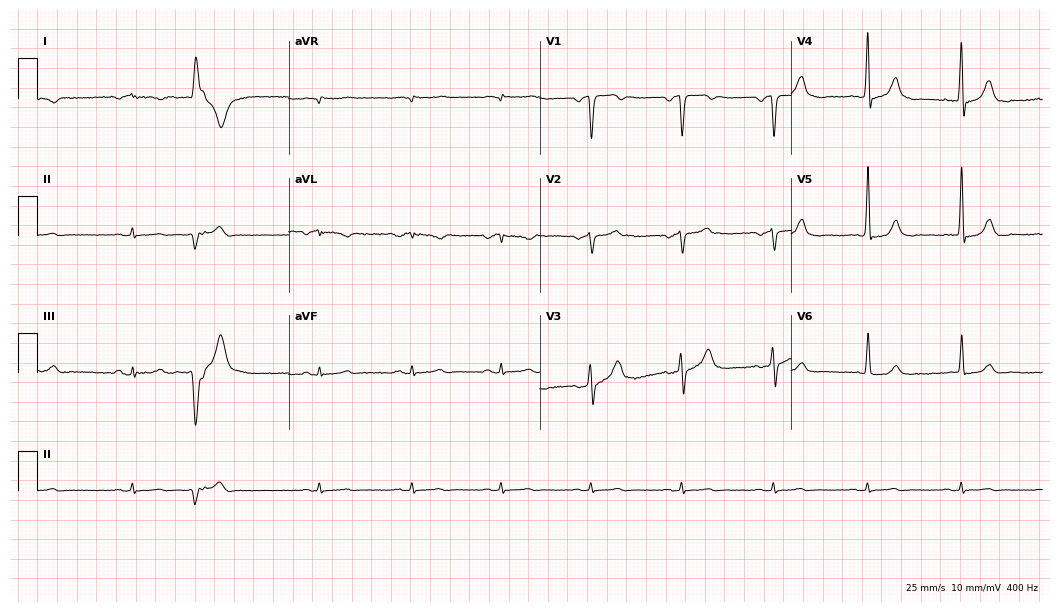
Resting 12-lead electrocardiogram. Patient: a 74-year-old female. None of these six findings is recorded: first-degree AV block, right bundle branch block, left bundle branch block, sinus bradycardia, atrial fibrillation, sinus tachycardia. Only these six findings were labelled.